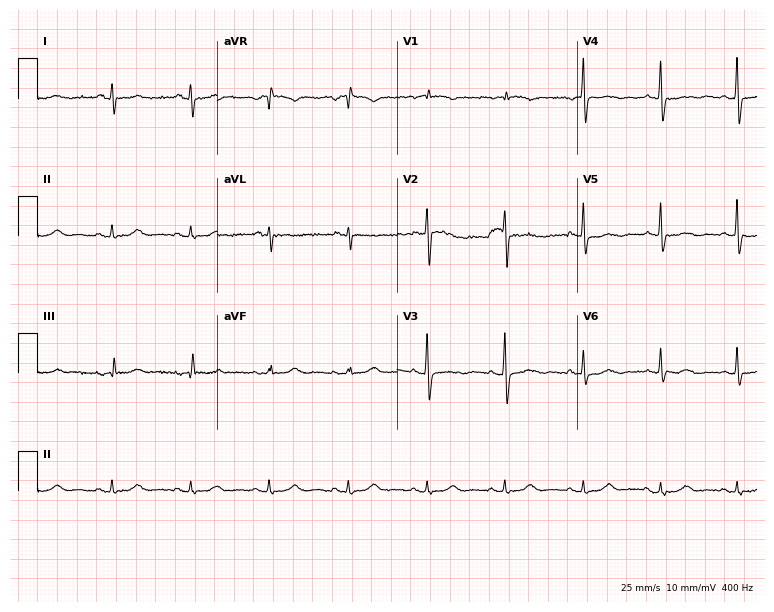
Standard 12-lead ECG recorded from a 61-year-old female. None of these six findings is recorded: first-degree AV block, right bundle branch block, left bundle branch block, sinus bradycardia, atrial fibrillation, sinus tachycardia.